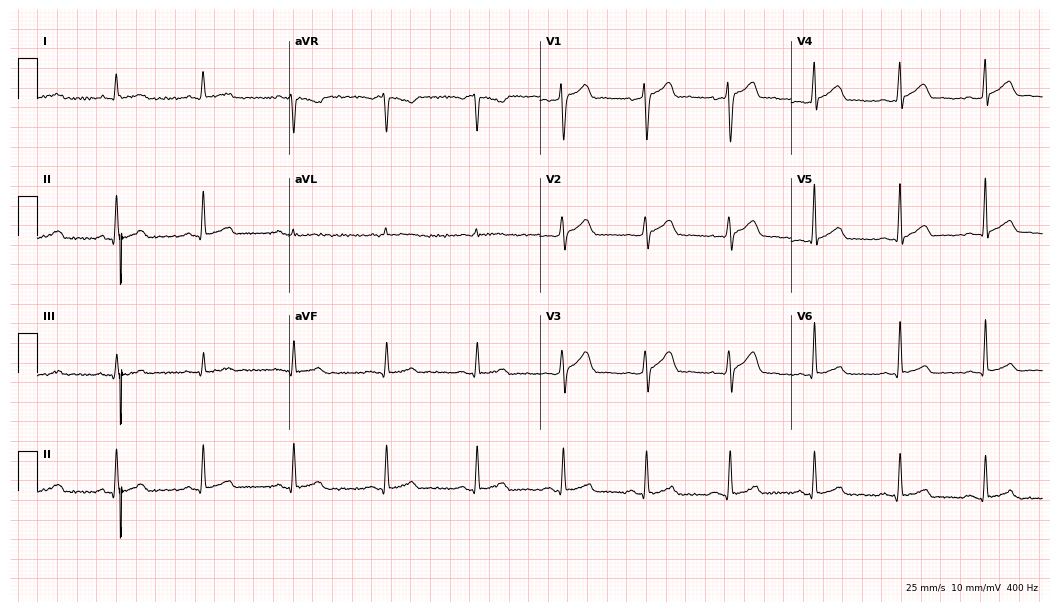
ECG — a 41-year-old man. Labelled as a normal ECG.